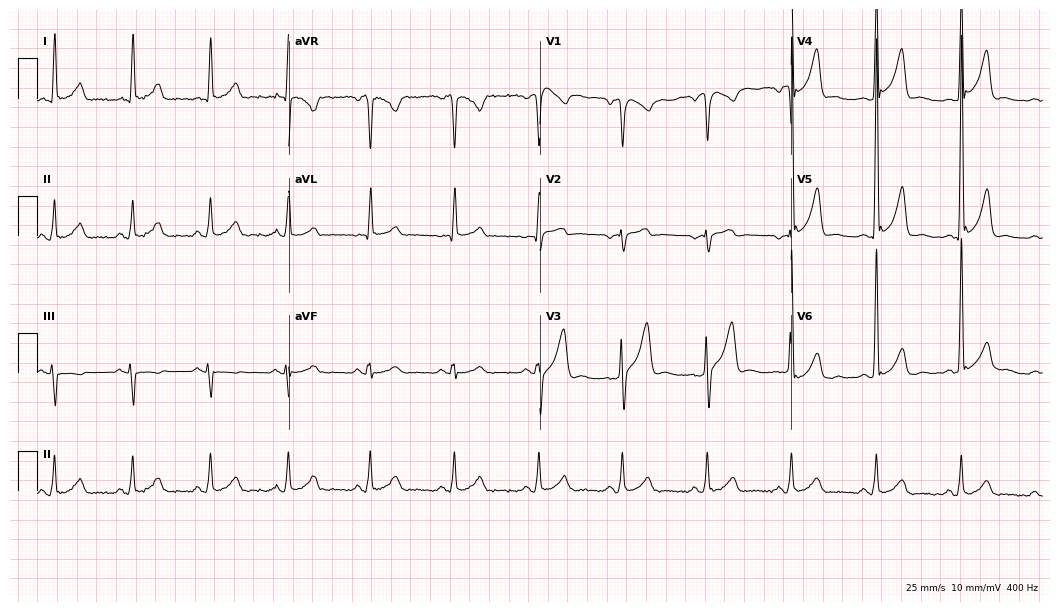
Standard 12-lead ECG recorded from a man, 41 years old (10.2-second recording at 400 Hz). Read as a normal ECG.